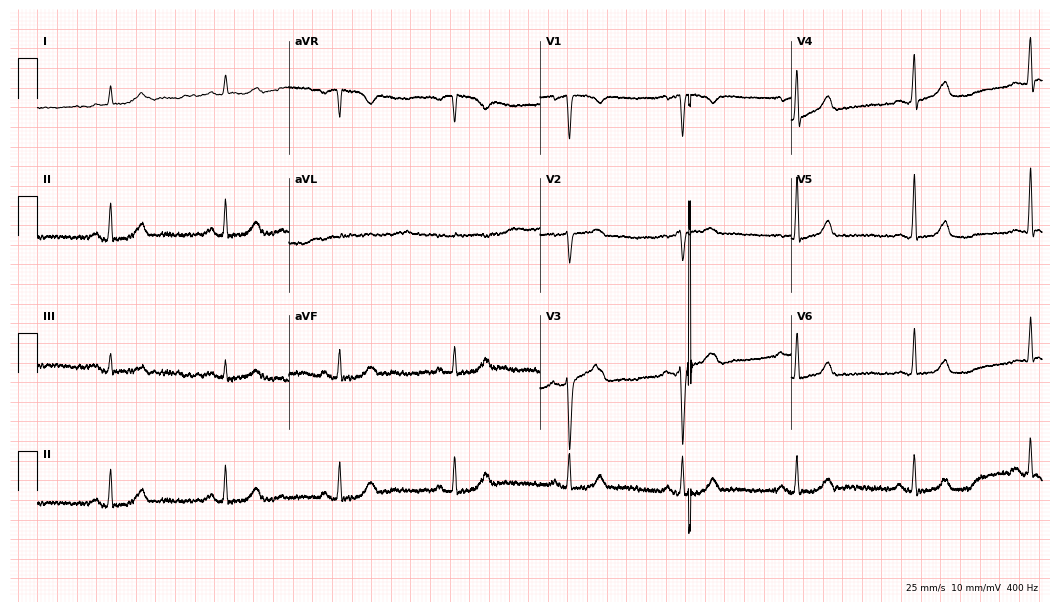
Resting 12-lead electrocardiogram (10.2-second recording at 400 Hz). Patient: a 74-year-old man. Read as a normal ECG.